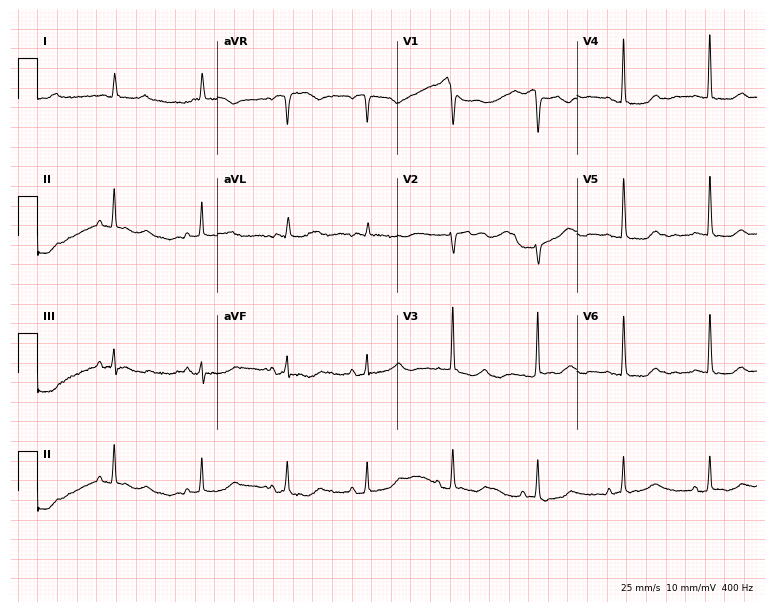
12-lead ECG from a 74-year-old female patient. Screened for six findings — first-degree AV block, right bundle branch block, left bundle branch block, sinus bradycardia, atrial fibrillation, sinus tachycardia — none is recorded. Only these six findings were labelled.